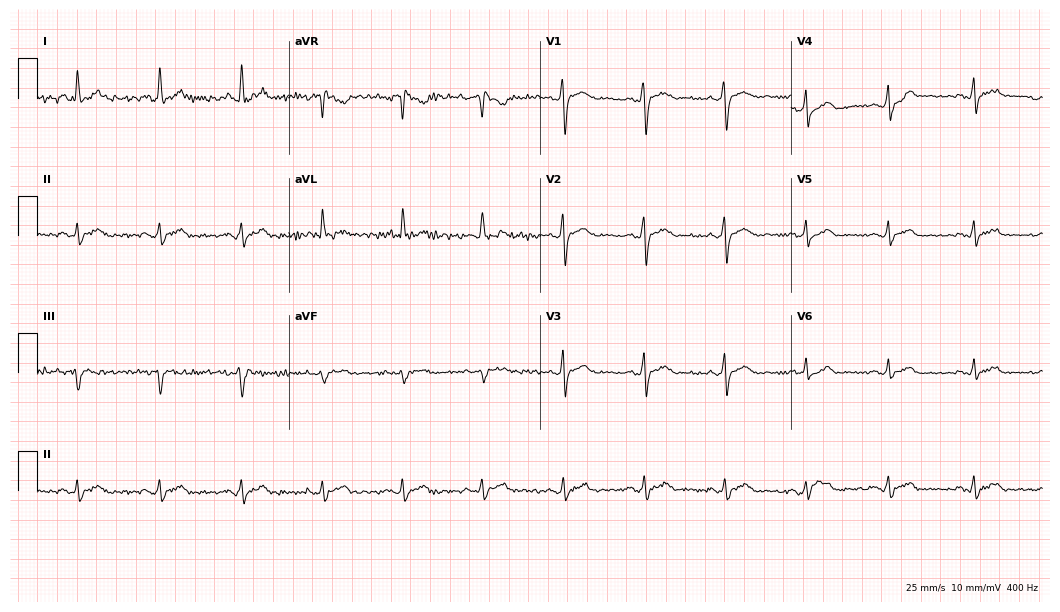
12-lead ECG from a male patient, 27 years old. Recorded interpretation: within normal limits.